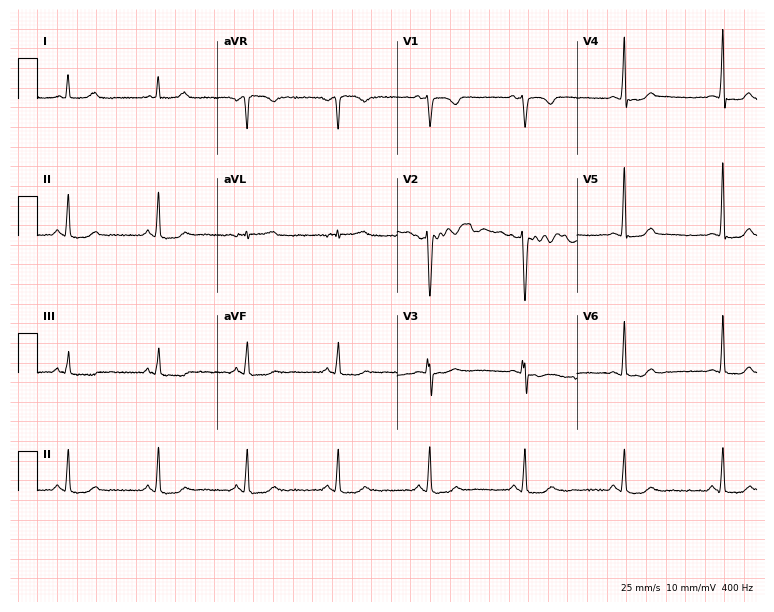
ECG — a female patient, 39 years old. Screened for six findings — first-degree AV block, right bundle branch block, left bundle branch block, sinus bradycardia, atrial fibrillation, sinus tachycardia — none is recorded.